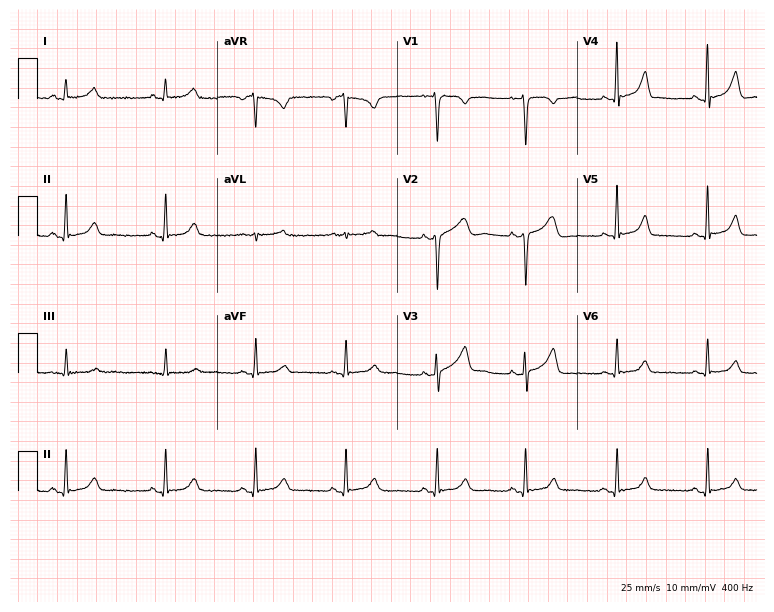
12-lead ECG from a 45-year-old woman (7.3-second recording at 400 Hz). Recorded interpretation: within normal limits.